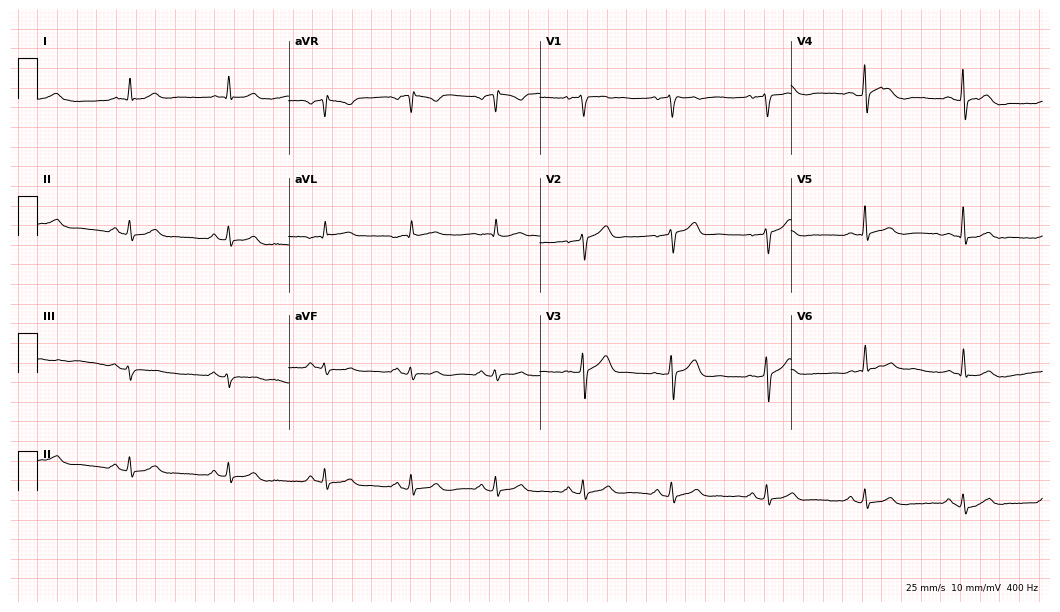
Electrocardiogram, a man, 45 years old. Of the six screened findings (first-degree AV block, right bundle branch block (RBBB), left bundle branch block (LBBB), sinus bradycardia, atrial fibrillation (AF), sinus tachycardia), none is recorded. Other findings, if any, are not listed.